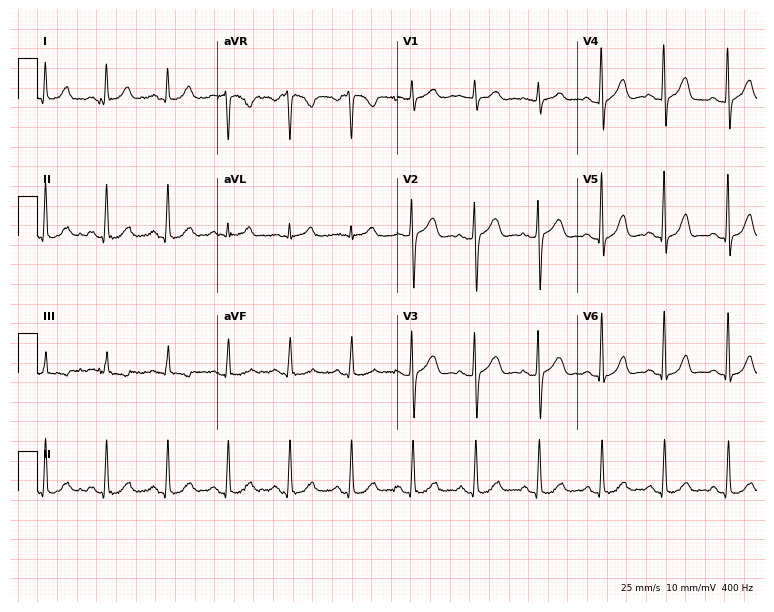
12-lead ECG from a 44-year-old female patient (7.3-second recording at 400 Hz). Recorded interpretation: within normal limits.